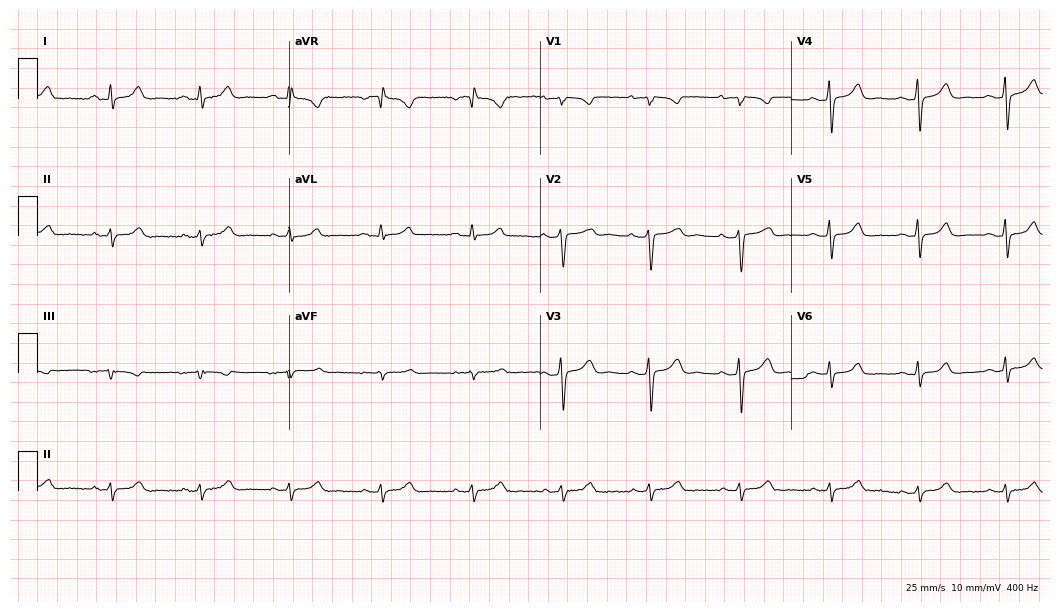
12-lead ECG from a 47-year-old female patient. No first-degree AV block, right bundle branch block, left bundle branch block, sinus bradycardia, atrial fibrillation or sinus tachycardia recorded for this tracing. Only these six findings were labelled.